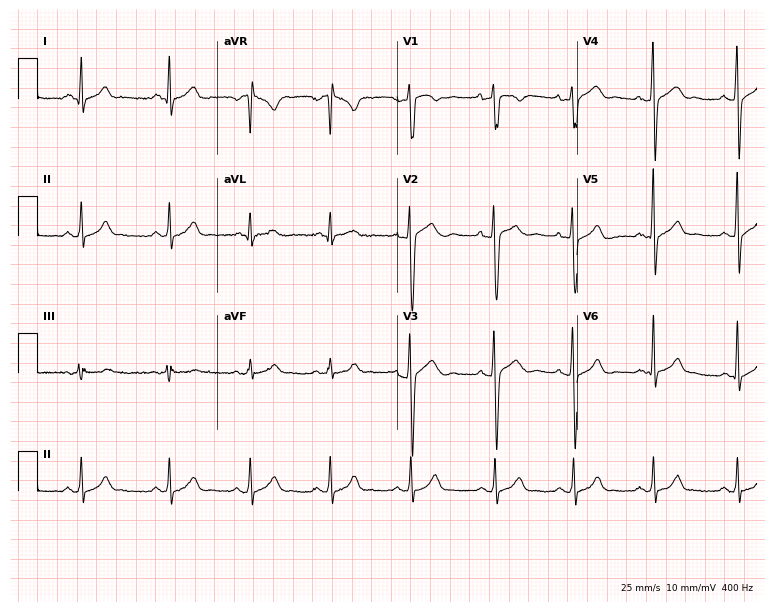
Standard 12-lead ECG recorded from a male patient, 26 years old. Read as a normal ECG.